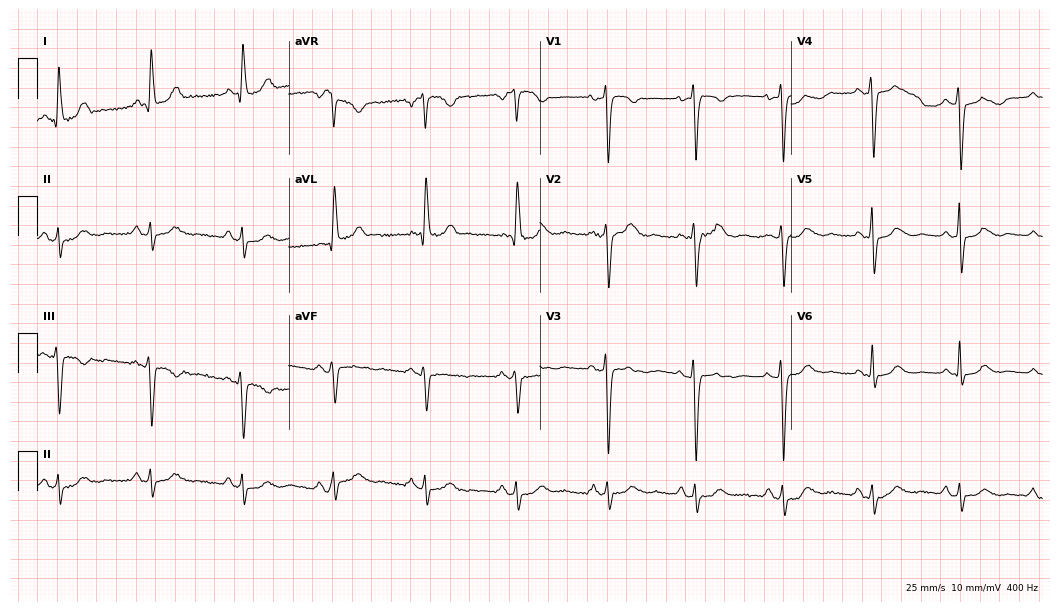
12-lead ECG from a female patient, 66 years old. Labelled as a normal ECG.